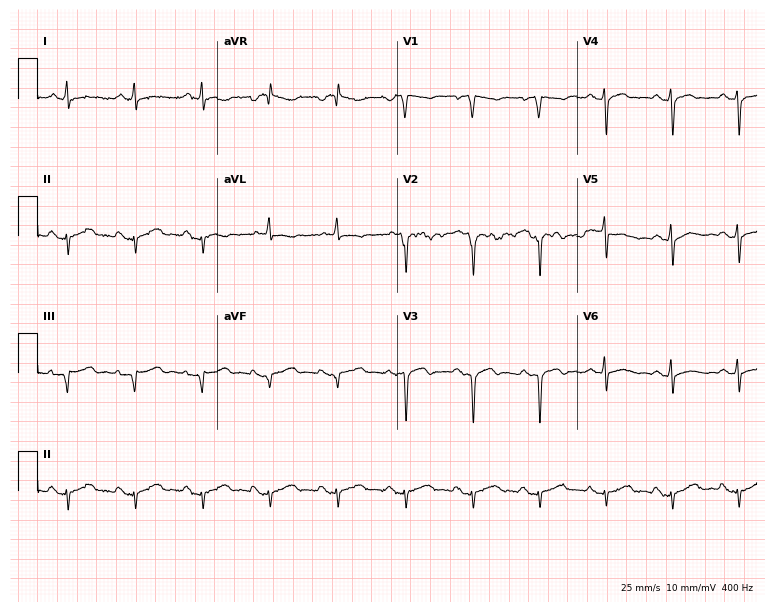
Standard 12-lead ECG recorded from a 63-year-old man (7.3-second recording at 400 Hz). None of these six findings is recorded: first-degree AV block, right bundle branch block (RBBB), left bundle branch block (LBBB), sinus bradycardia, atrial fibrillation (AF), sinus tachycardia.